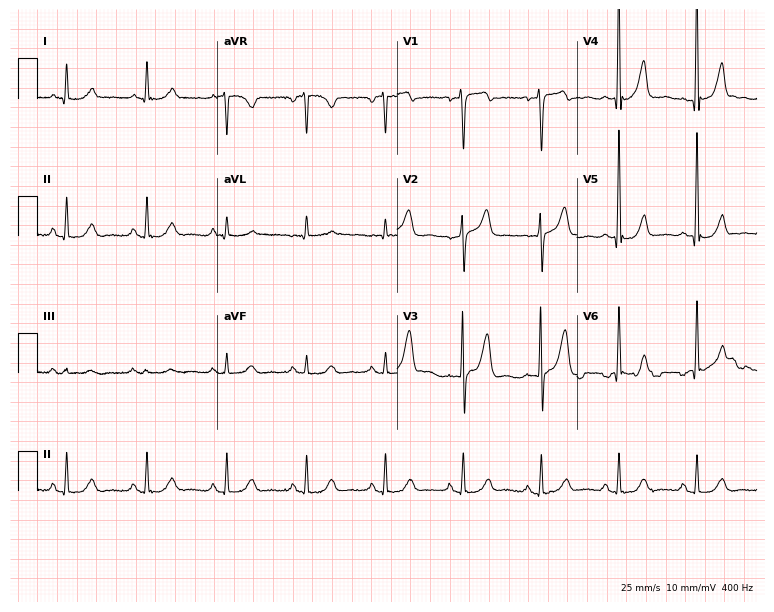
Standard 12-lead ECG recorded from a 72-year-old man. Read as a normal ECG.